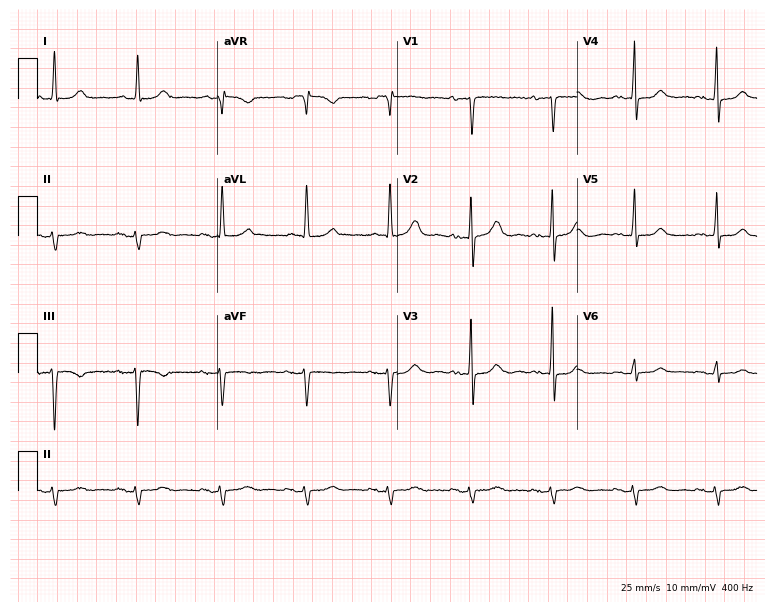
Resting 12-lead electrocardiogram. Patient: a female, 69 years old. None of these six findings is recorded: first-degree AV block, right bundle branch block (RBBB), left bundle branch block (LBBB), sinus bradycardia, atrial fibrillation (AF), sinus tachycardia.